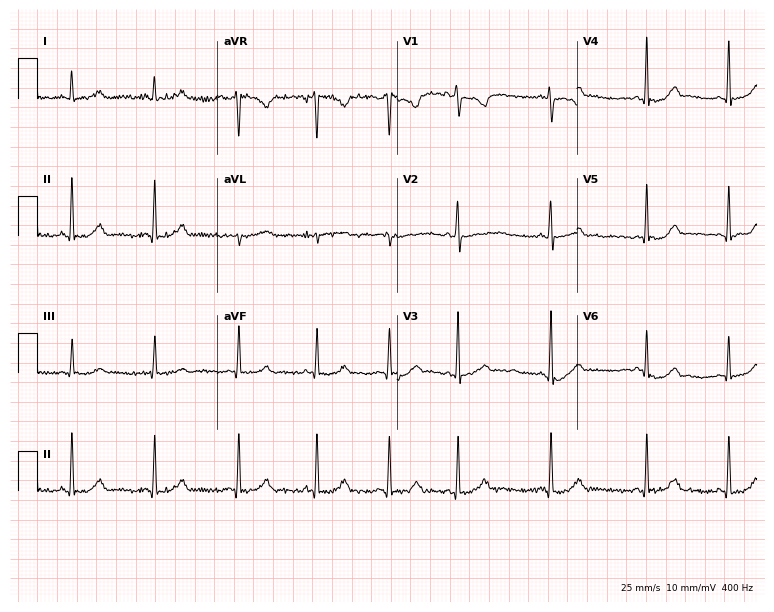
12-lead ECG from a 21-year-old woman. No first-degree AV block, right bundle branch block, left bundle branch block, sinus bradycardia, atrial fibrillation or sinus tachycardia recorded for this tracing.